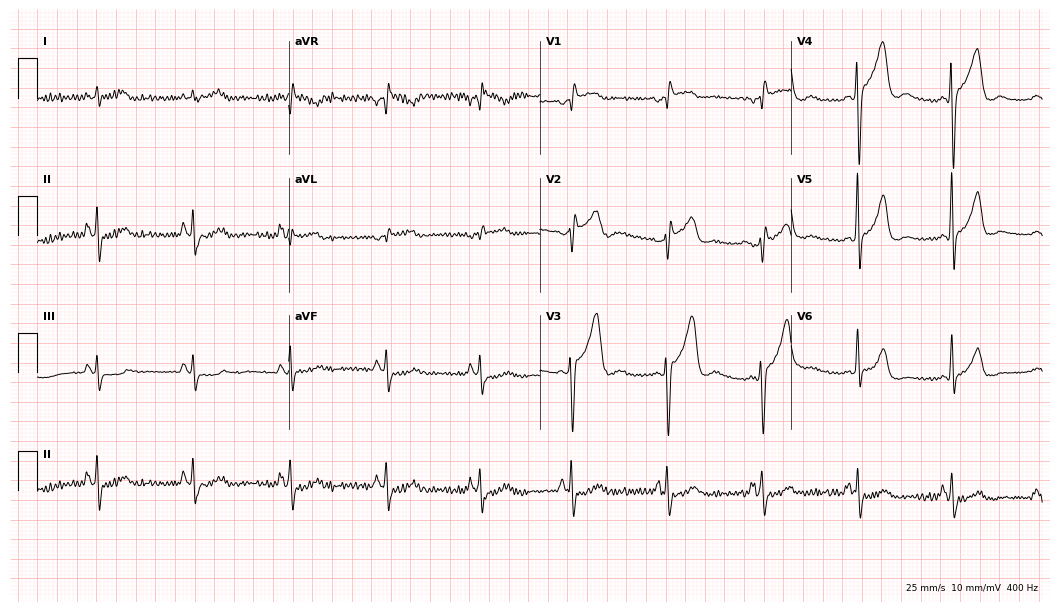
Resting 12-lead electrocardiogram (10.2-second recording at 400 Hz). Patient: a 67-year-old male. None of these six findings is recorded: first-degree AV block, right bundle branch block (RBBB), left bundle branch block (LBBB), sinus bradycardia, atrial fibrillation (AF), sinus tachycardia.